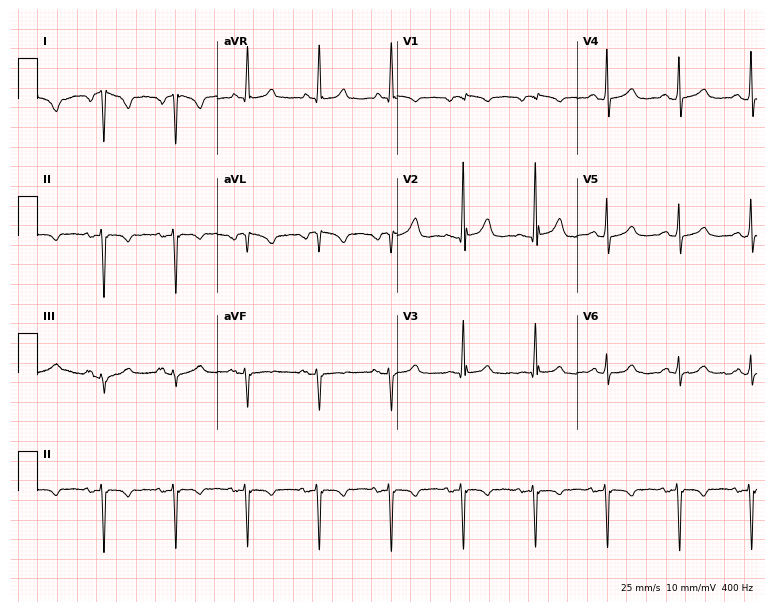
ECG — a 74-year-old female patient. Screened for six findings — first-degree AV block, right bundle branch block (RBBB), left bundle branch block (LBBB), sinus bradycardia, atrial fibrillation (AF), sinus tachycardia — none is recorded. Findings outside these six are not listed.